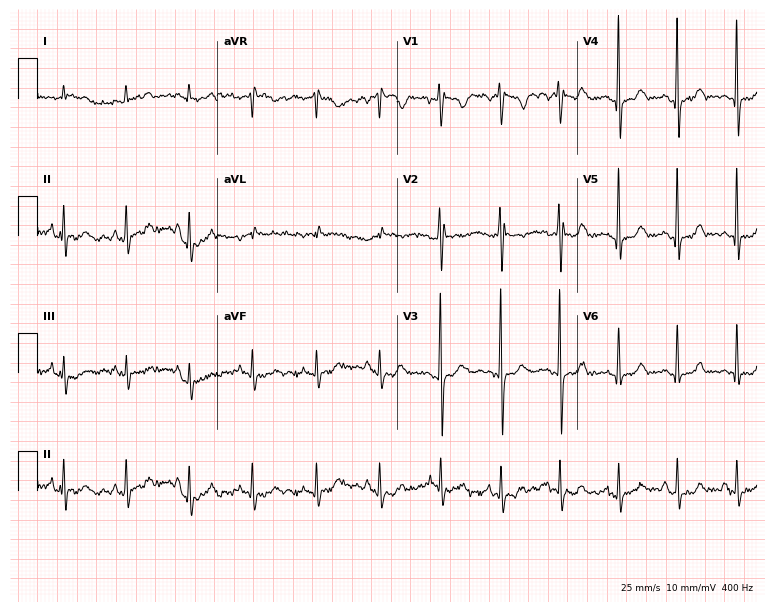
ECG — a male, 38 years old. Labelled as a normal ECG.